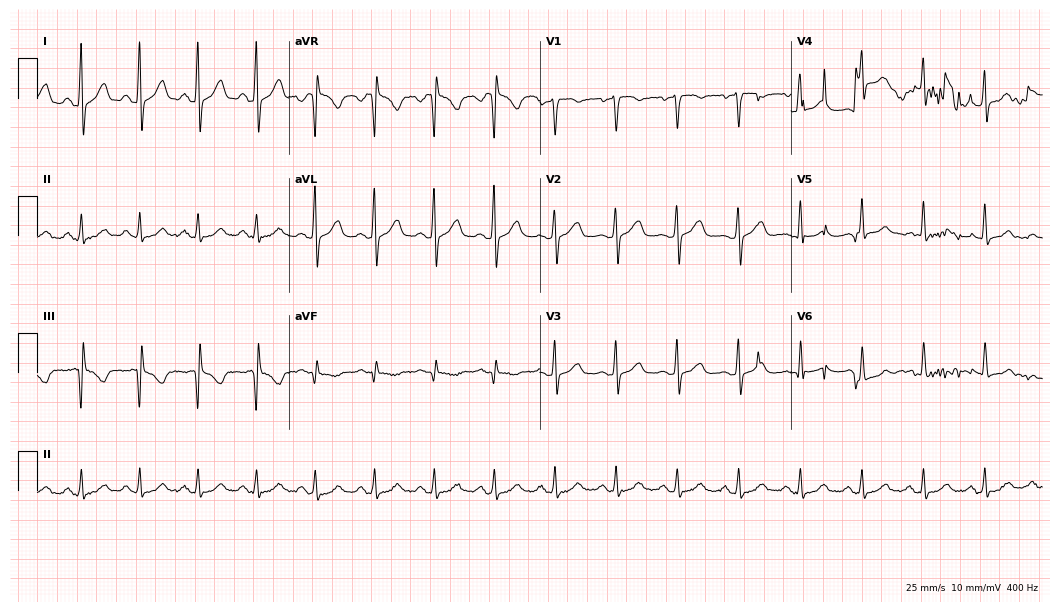
Resting 12-lead electrocardiogram. Patient: a 51-year-old male. Read as a normal ECG.